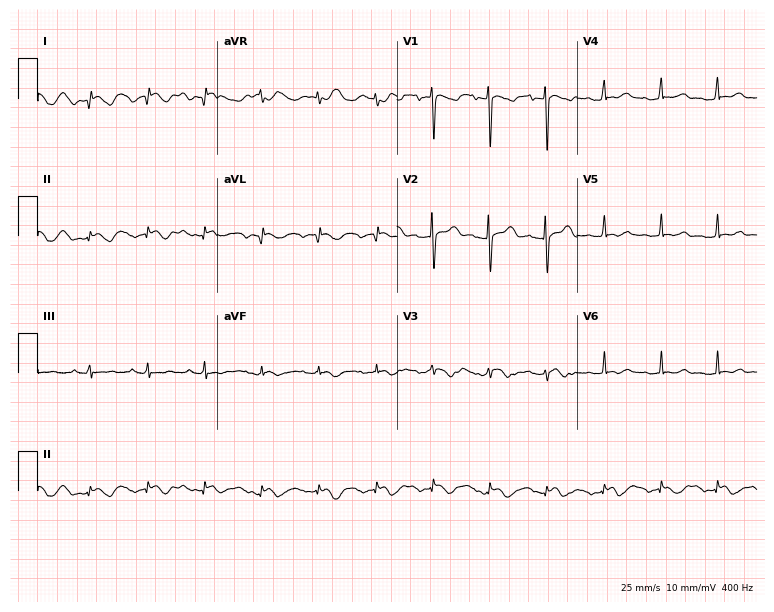
Standard 12-lead ECG recorded from a woman, 18 years old (7.3-second recording at 400 Hz). None of these six findings is recorded: first-degree AV block, right bundle branch block, left bundle branch block, sinus bradycardia, atrial fibrillation, sinus tachycardia. Only these six findings were labelled.